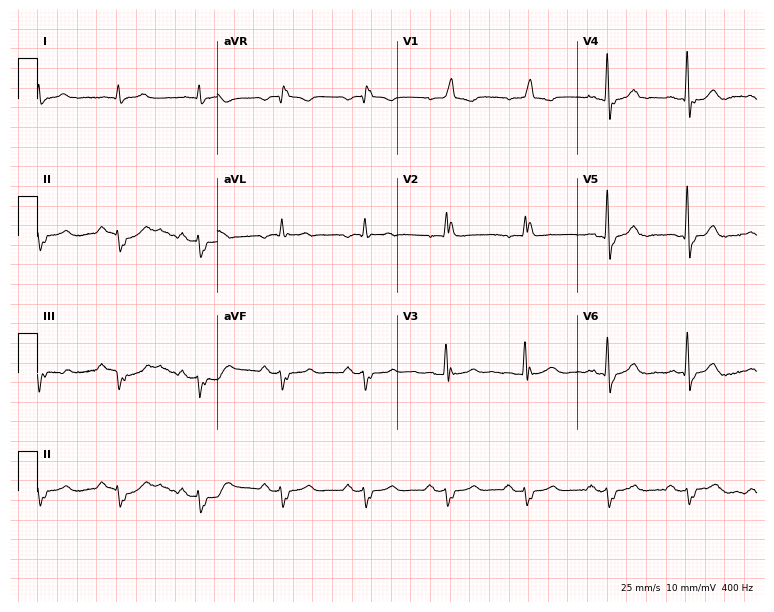
12-lead ECG from an 85-year-old male. Shows right bundle branch block (RBBB).